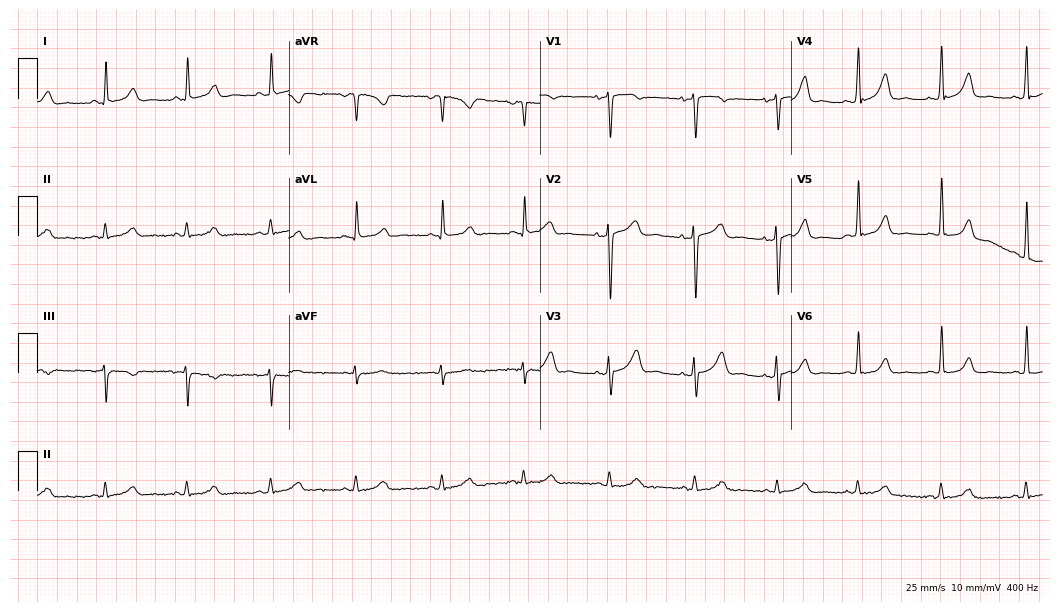
Resting 12-lead electrocardiogram. Patient: a 63-year-old female. Read as a normal ECG.